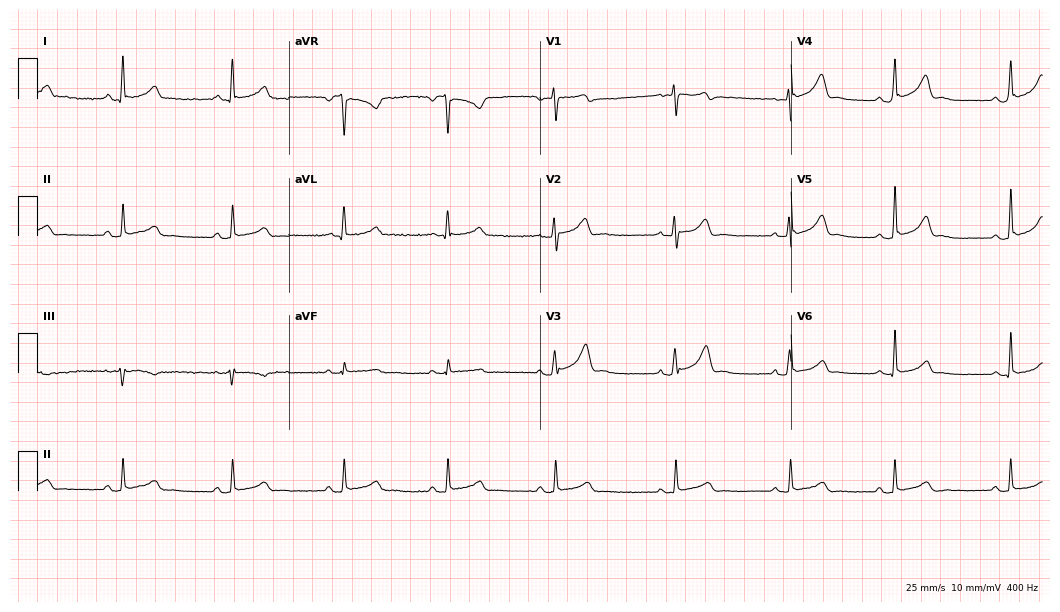
Standard 12-lead ECG recorded from a female, 24 years old (10.2-second recording at 400 Hz). Read as a normal ECG.